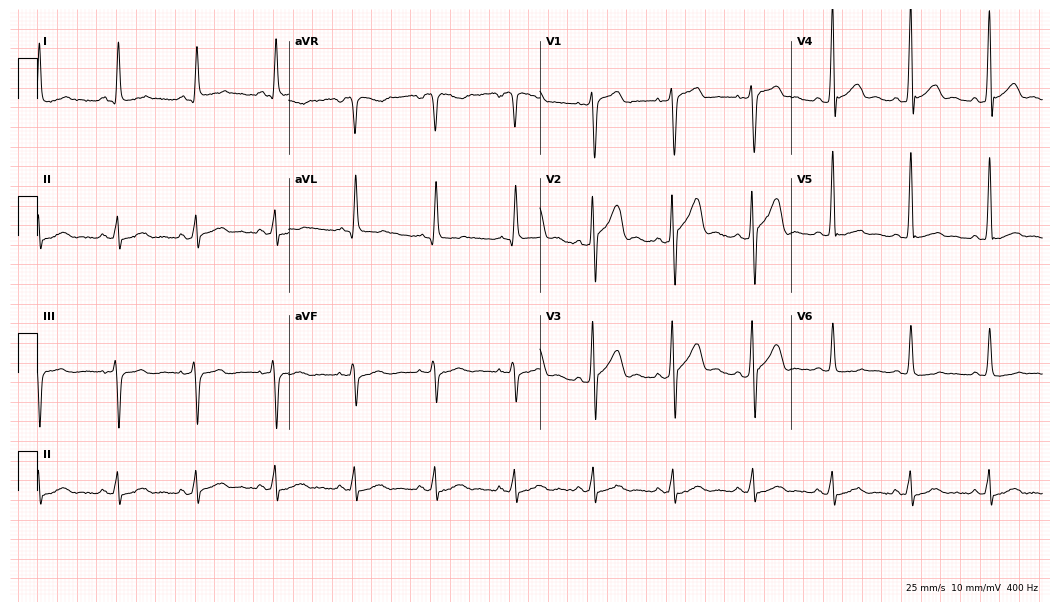
12-lead ECG (10.2-second recording at 400 Hz) from a 42-year-old man. Screened for six findings — first-degree AV block, right bundle branch block, left bundle branch block, sinus bradycardia, atrial fibrillation, sinus tachycardia — none is recorded.